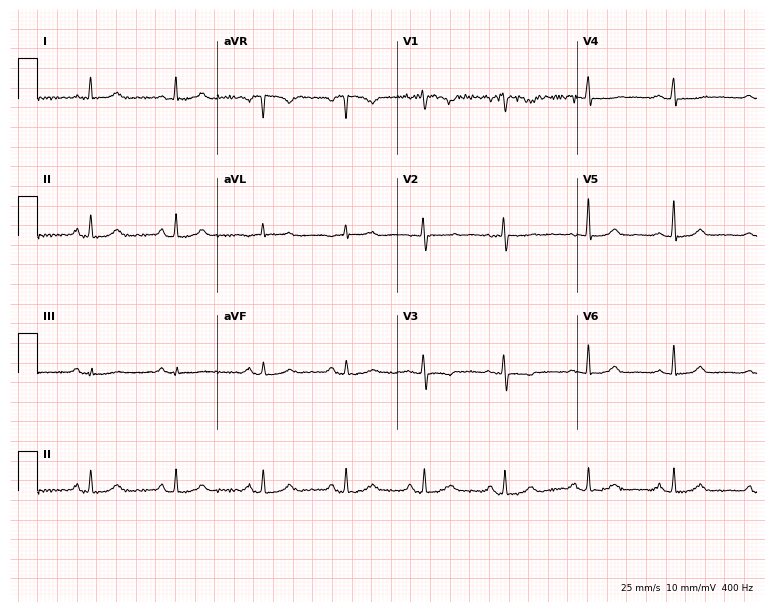
12-lead ECG (7.3-second recording at 400 Hz) from a female patient, 40 years old. Screened for six findings — first-degree AV block, right bundle branch block, left bundle branch block, sinus bradycardia, atrial fibrillation, sinus tachycardia — none is recorded. Other findings, if any, are not listed.